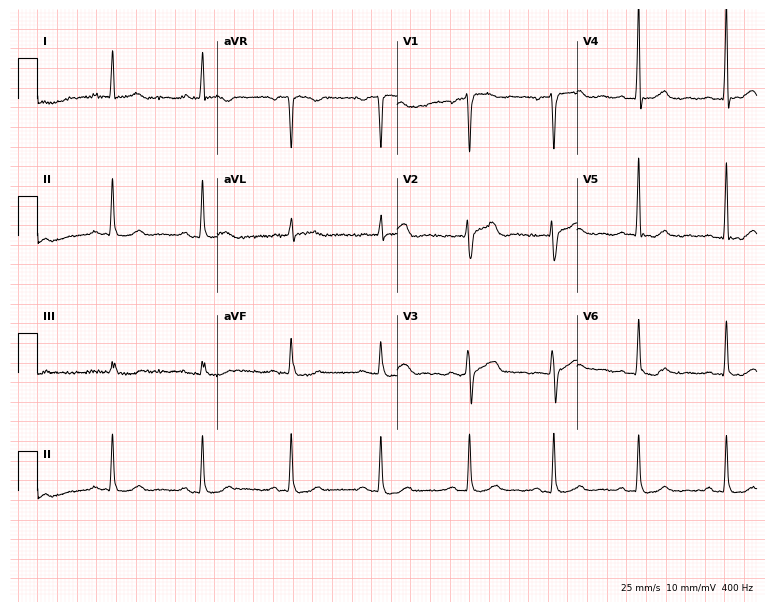
Resting 12-lead electrocardiogram (7.3-second recording at 400 Hz). Patient: a male, 43 years old. None of these six findings is recorded: first-degree AV block, right bundle branch block (RBBB), left bundle branch block (LBBB), sinus bradycardia, atrial fibrillation (AF), sinus tachycardia. Only these six findings were labelled.